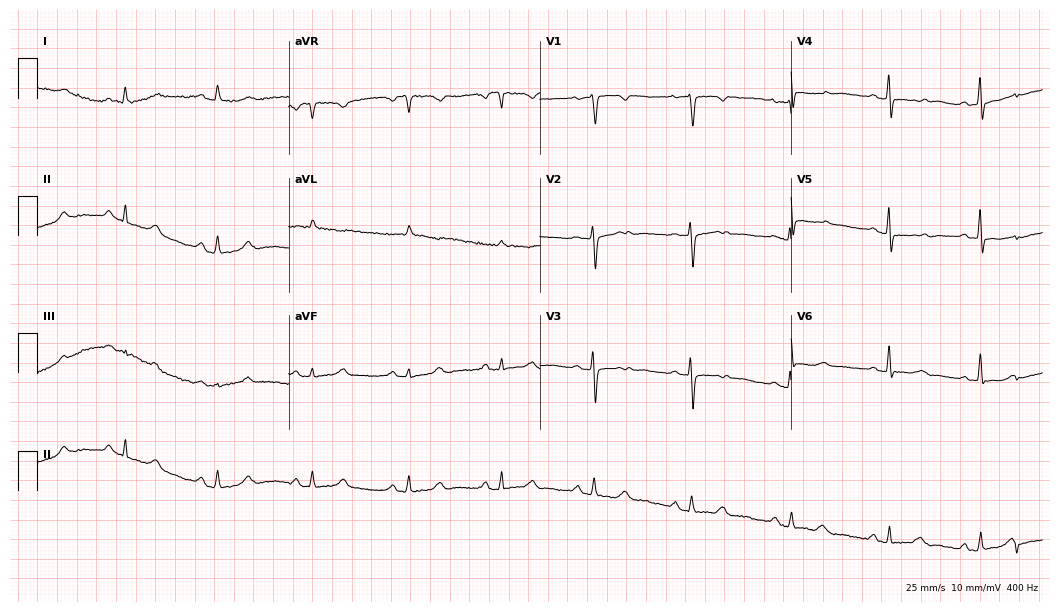
Standard 12-lead ECG recorded from a female, 62 years old (10.2-second recording at 400 Hz). None of these six findings is recorded: first-degree AV block, right bundle branch block, left bundle branch block, sinus bradycardia, atrial fibrillation, sinus tachycardia.